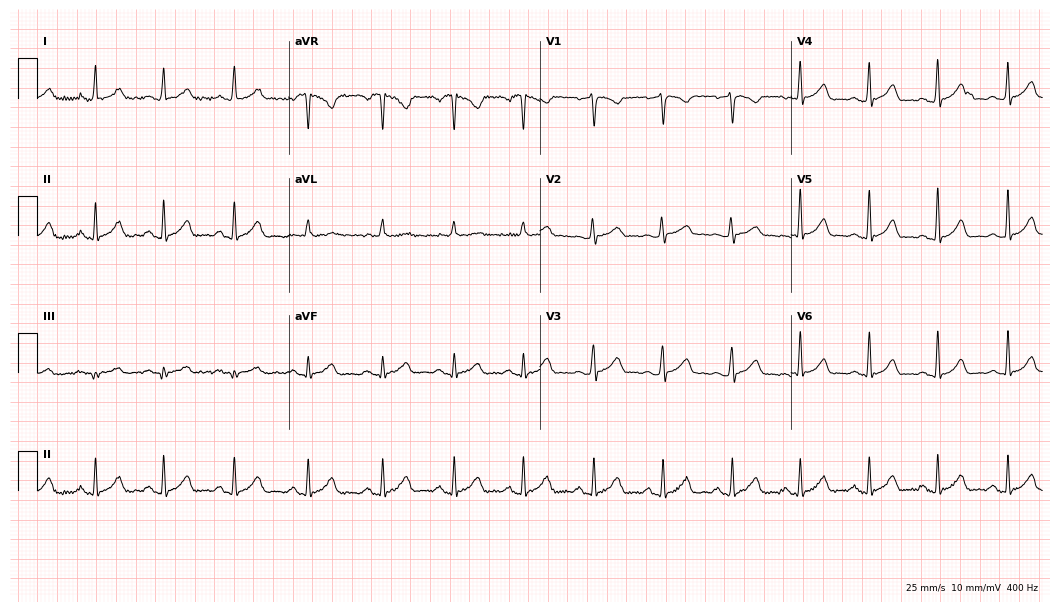
ECG — a female, 20 years old. Screened for six findings — first-degree AV block, right bundle branch block, left bundle branch block, sinus bradycardia, atrial fibrillation, sinus tachycardia — none is recorded.